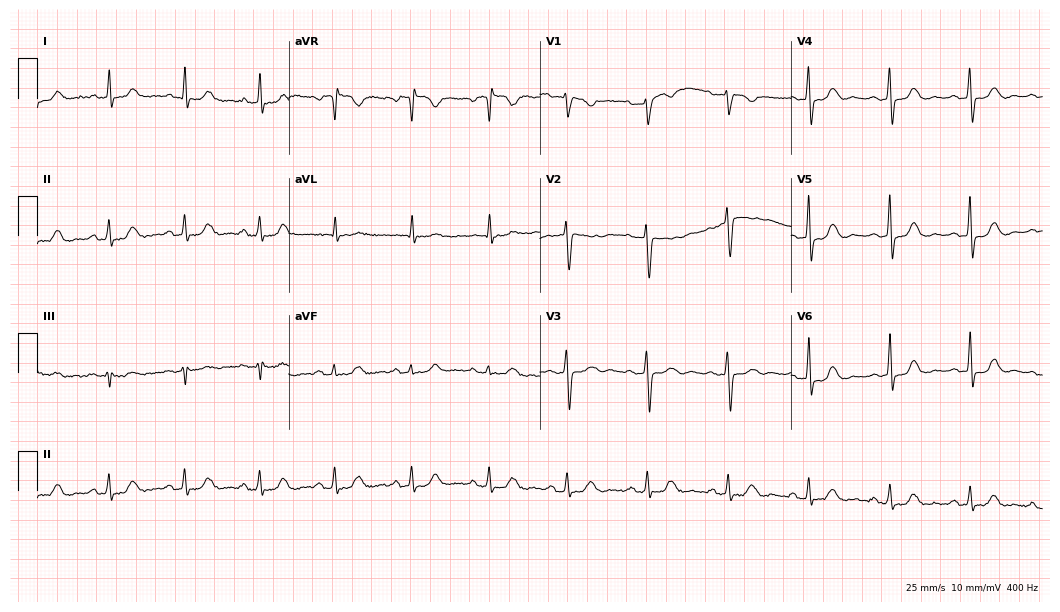
Resting 12-lead electrocardiogram. Patient: a 53-year-old female. None of these six findings is recorded: first-degree AV block, right bundle branch block, left bundle branch block, sinus bradycardia, atrial fibrillation, sinus tachycardia.